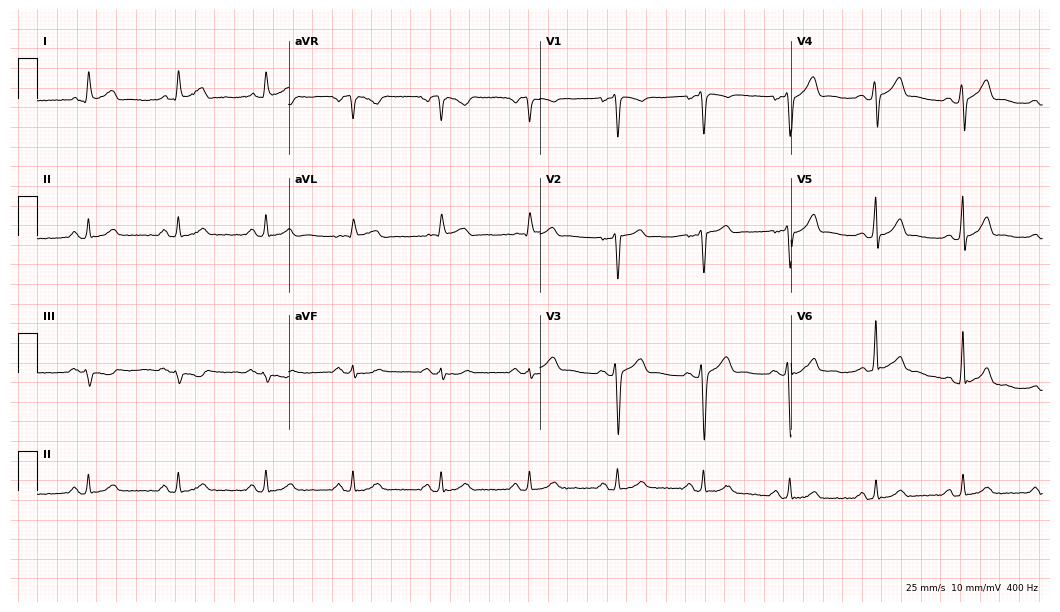
Standard 12-lead ECG recorded from a man, 39 years old (10.2-second recording at 400 Hz). Read as a normal ECG.